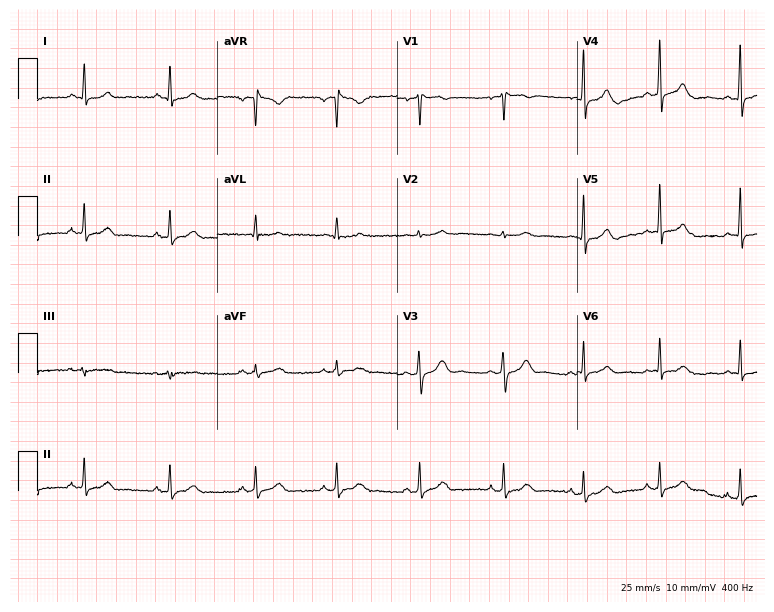
Electrocardiogram, a 37-year-old woman. Overall reading on record: normal ECG.